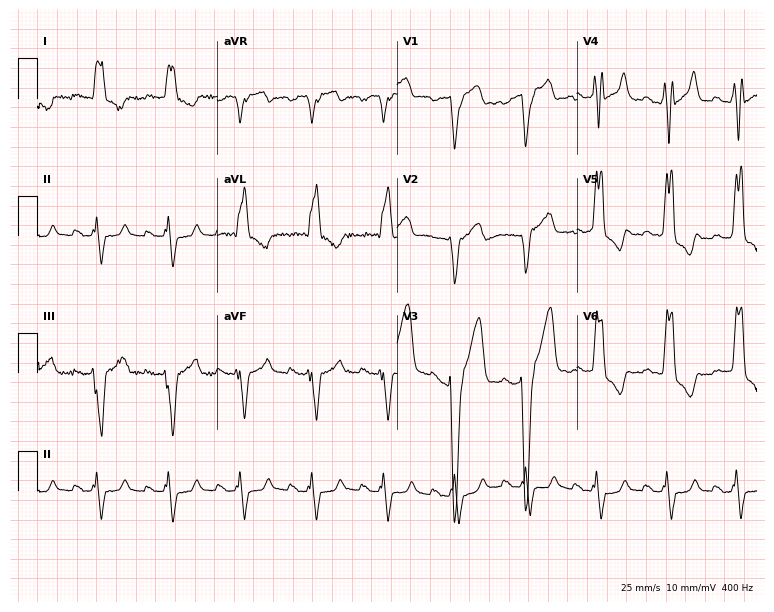
ECG — a man, 63 years old. Findings include left bundle branch block.